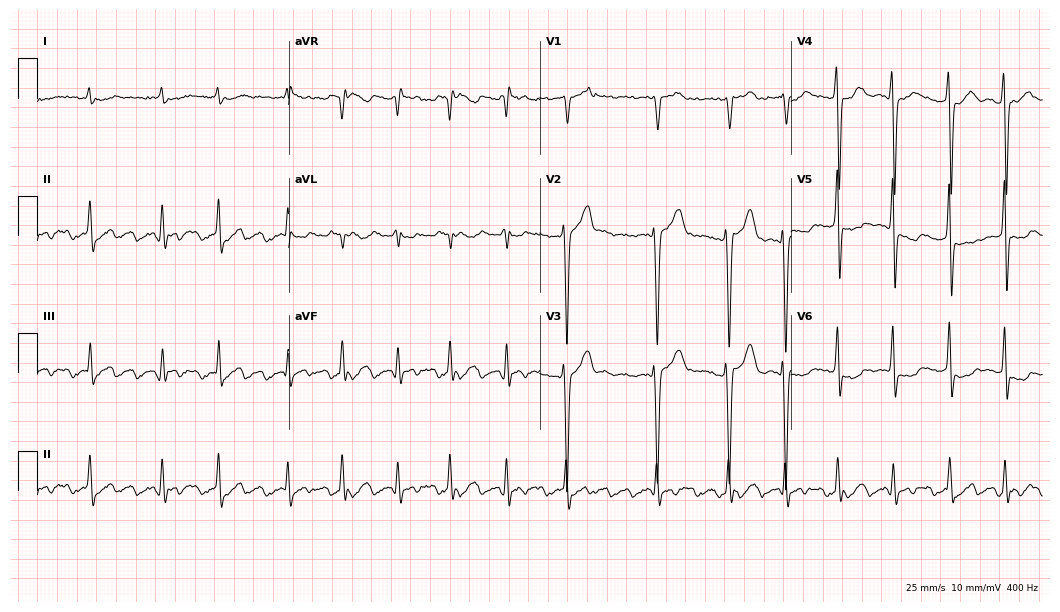
Electrocardiogram, a 71-year-old female. Interpretation includes atrial fibrillation.